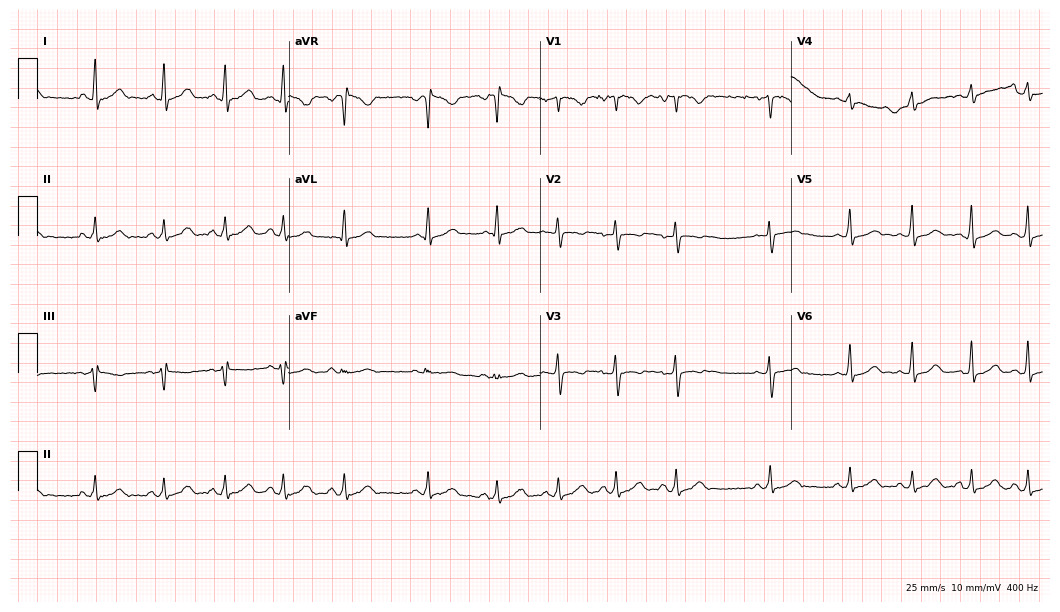
12-lead ECG from a female, 24 years old. Labelled as a normal ECG.